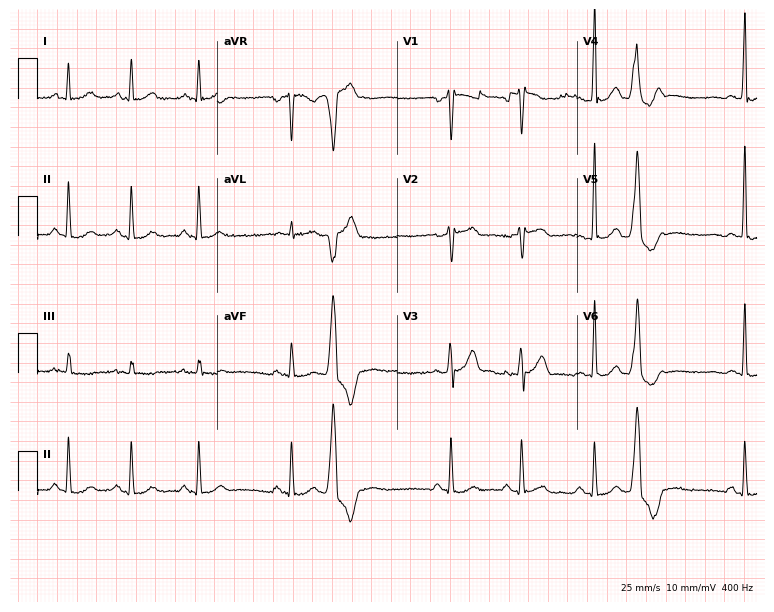
Electrocardiogram, a 54-year-old male patient. Of the six screened findings (first-degree AV block, right bundle branch block (RBBB), left bundle branch block (LBBB), sinus bradycardia, atrial fibrillation (AF), sinus tachycardia), none is recorded.